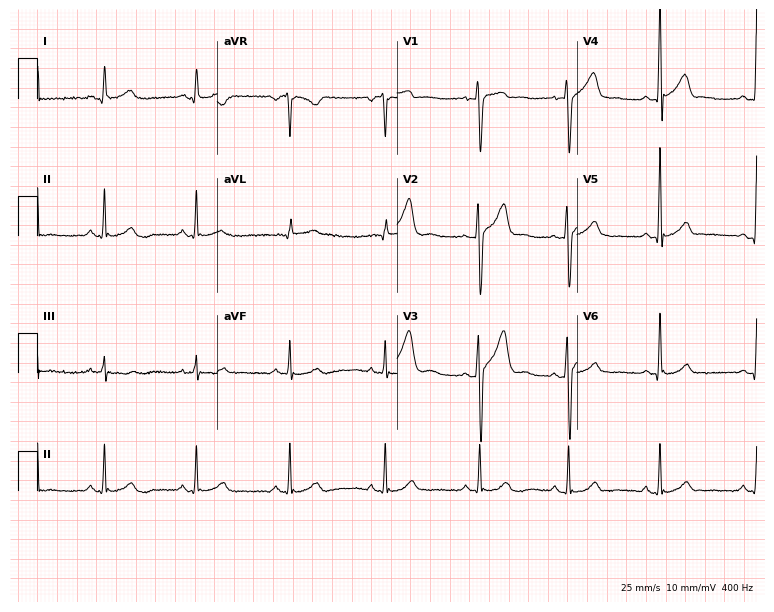
ECG — a male, 39 years old. Labelled as a normal ECG.